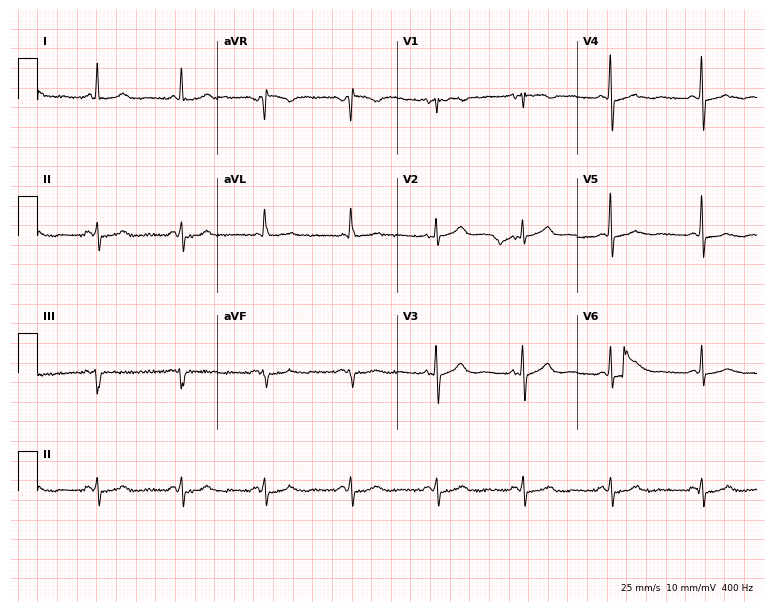
Resting 12-lead electrocardiogram (7.3-second recording at 400 Hz). Patient: a 73-year-old female. None of these six findings is recorded: first-degree AV block, right bundle branch block (RBBB), left bundle branch block (LBBB), sinus bradycardia, atrial fibrillation (AF), sinus tachycardia.